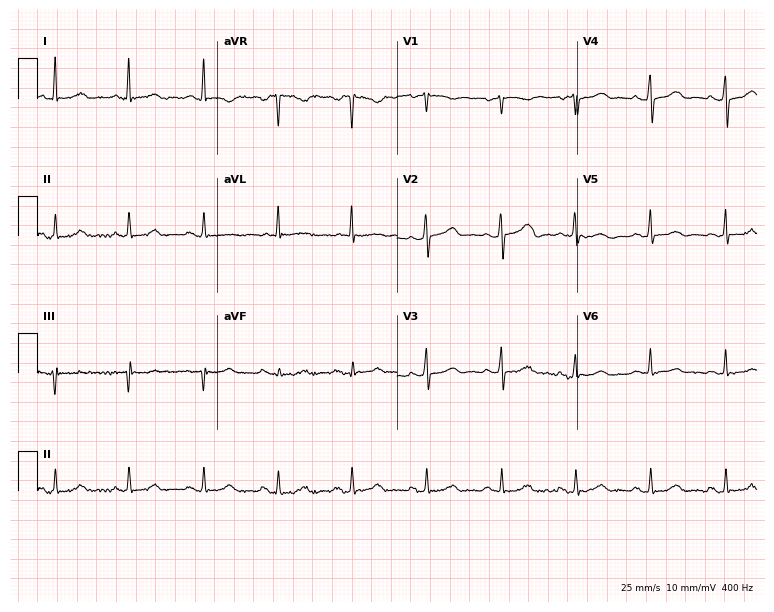
ECG — a female patient, 77 years old. Screened for six findings — first-degree AV block, right bundle branch block (RBBB), left bundle branch block (LBBB), sinus bradycardia, atrial fibrillation (AF), sinus tachycardia — none is recorded.